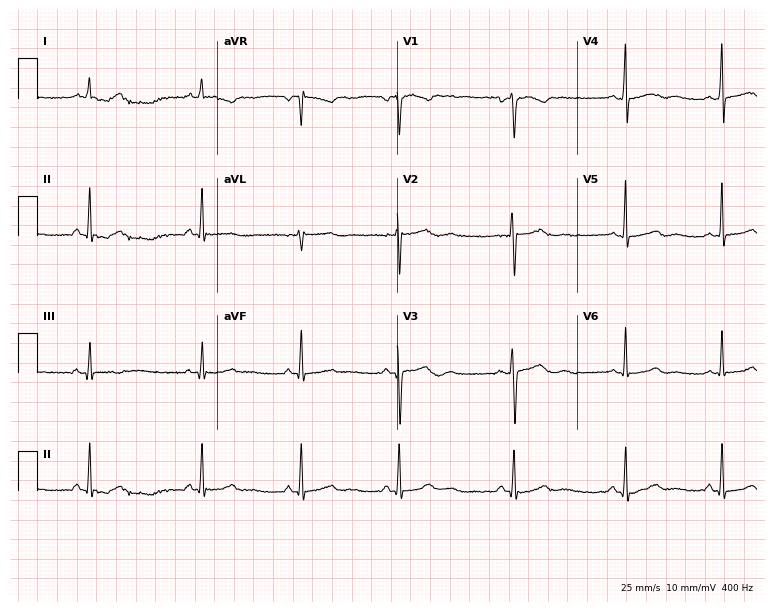
Resting 12-lead electrocardiogram (7.3-second recording at 400 Hz). Patient: a female, 26 years old. None of these six findings is recorded: first-degree AV block, right bundle branch block, left bundle branch block, sinus bradycardia, atrial fibrillation, sinus tachycardia.